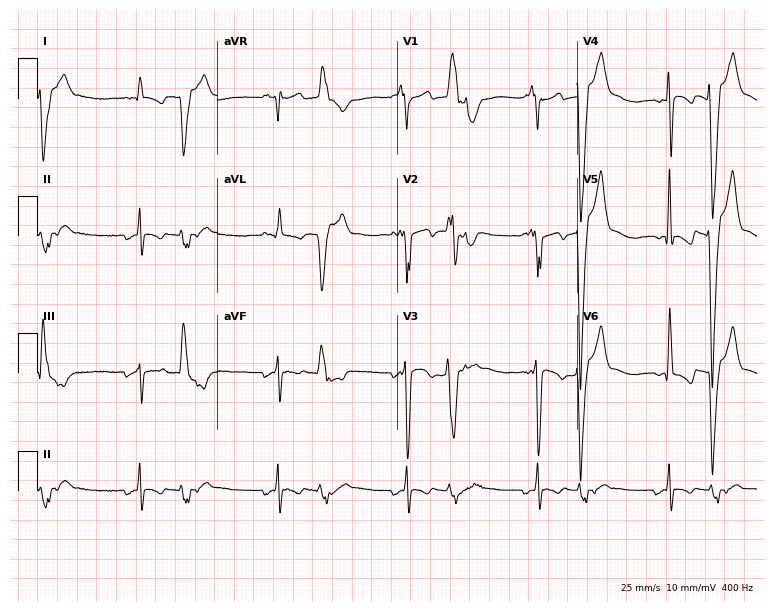
12-lead ECG (7.3-second recording at 400 Hz) from a female patient, 83 years old. Screened for six findings — first-degree AV block, right bundle branch block, left bundle branch block, sinus bradycardia, atrial fibrillation, sinus tachycardia — none is recorded.